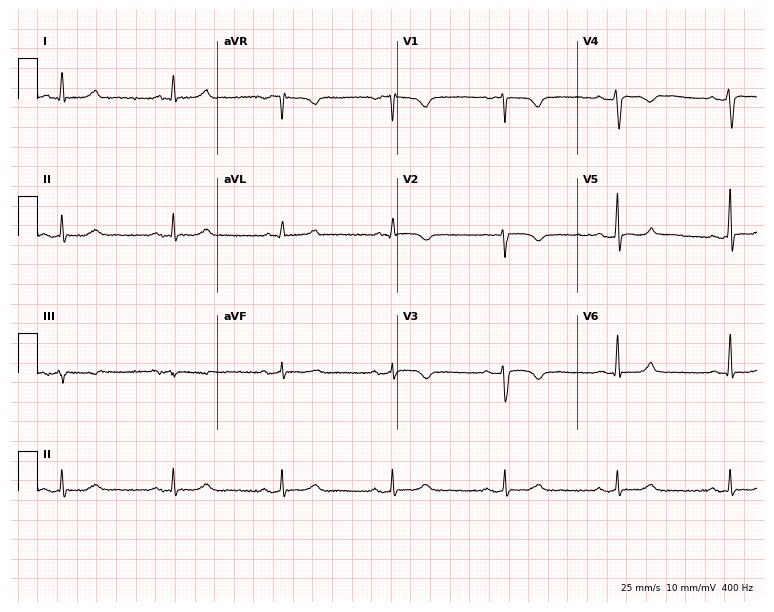
12-lead ECG from a woman, 61 years old. Screened for six findings — first-degree AV block, right bundle branch block, left bundle branch block, sinus bradycardia, atrial fibrillation, sinus tachycardia — none is recorded.